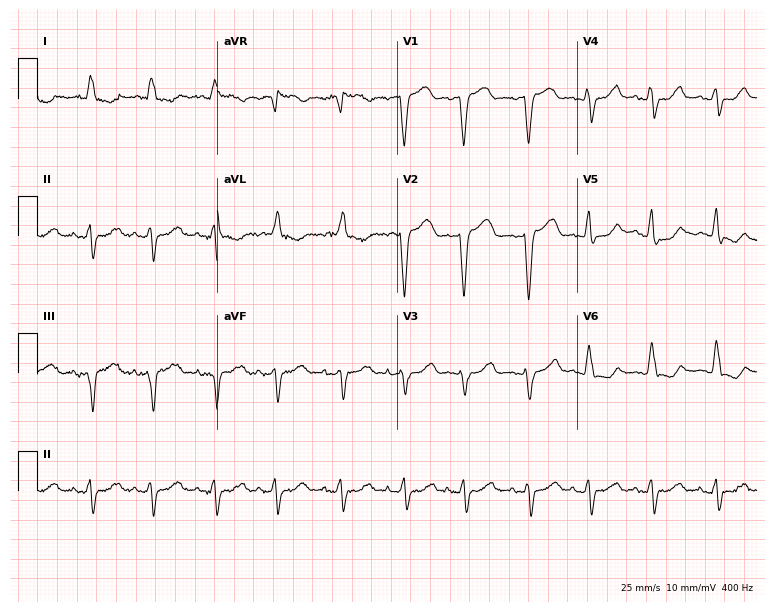
ECG (7.3-second recording at 400 Hz) — an 83-year-old female patient. Findings include left bundle branch block (LBBB).